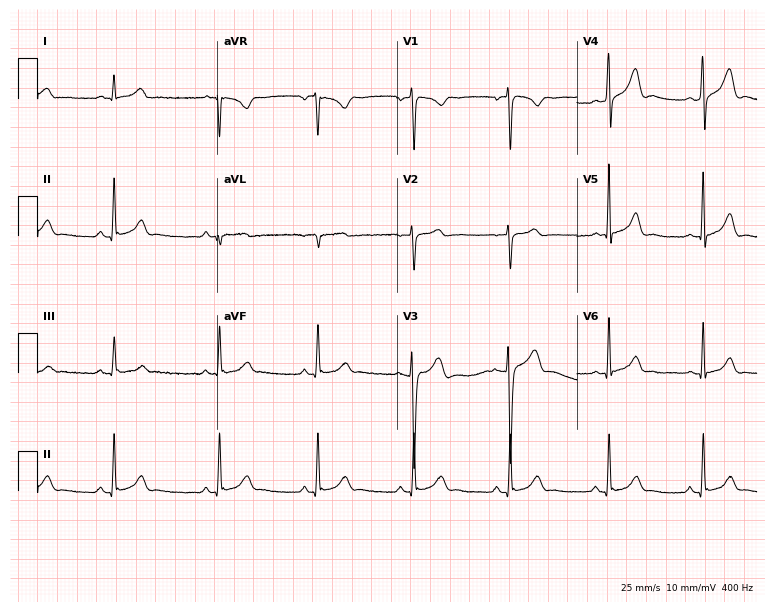
Resting 12-lead electrocardiogram. Patient: a male, 22 years old. Read as a normal ECG.